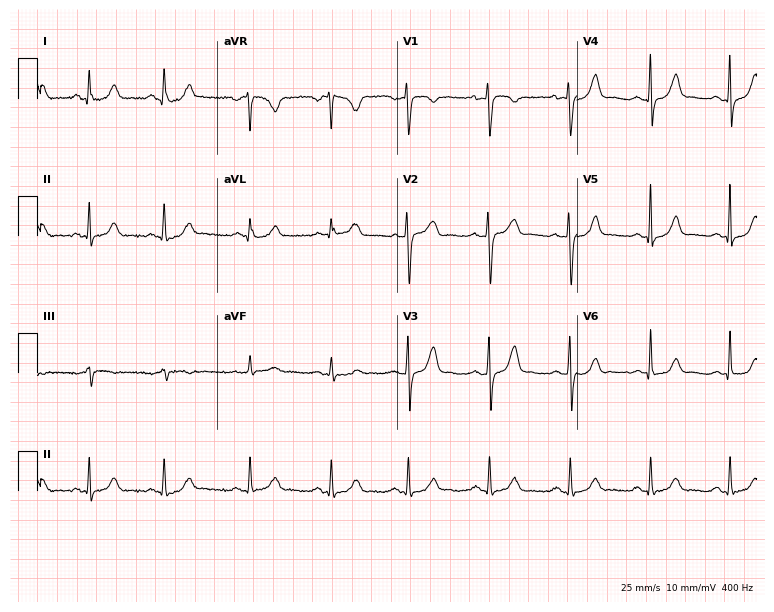
12-lead ECG from a 31-year-old woman (7.3-second recording at 400 Hz). No first-degree AV block, right bundle branch block (RBBB), left bundle branch block (LBBB), sinus bradycardia, atrial fibrillation (AF) or sinus tachycardia recorded for this tracing. Findings outside these six are not listed.